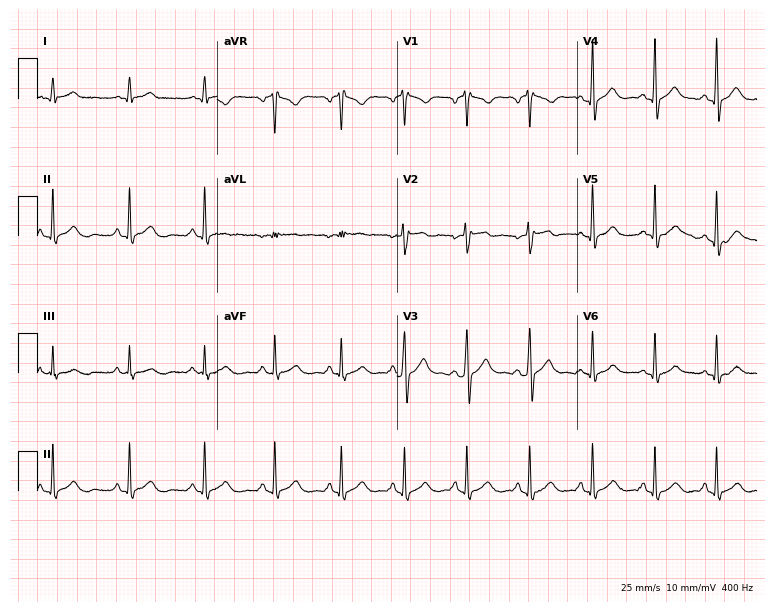
Resting 12-lead electrocardiogram (7.3-second recording at 400 Hz). Patient: a 30-year-old man. Read as a normal ECG.